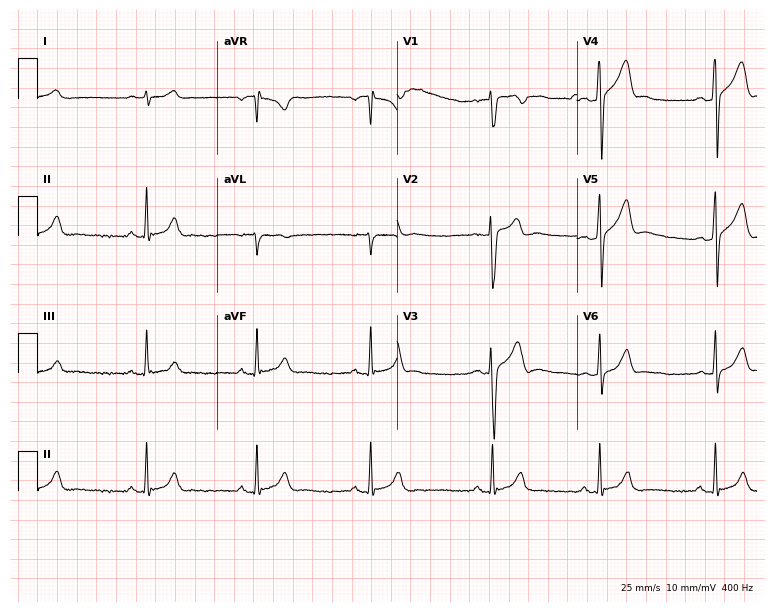
Standard 12-lead ECG recorded from a 27-year-old male (7.3-second recording at 400 Hz). None of these six findings is recorded: first-degree AV block, right bundle branch block, left bundle branch block, sinus bradycardia, atrial fibrillation, sinus tachycardia. Other findings, if any, are not listed.